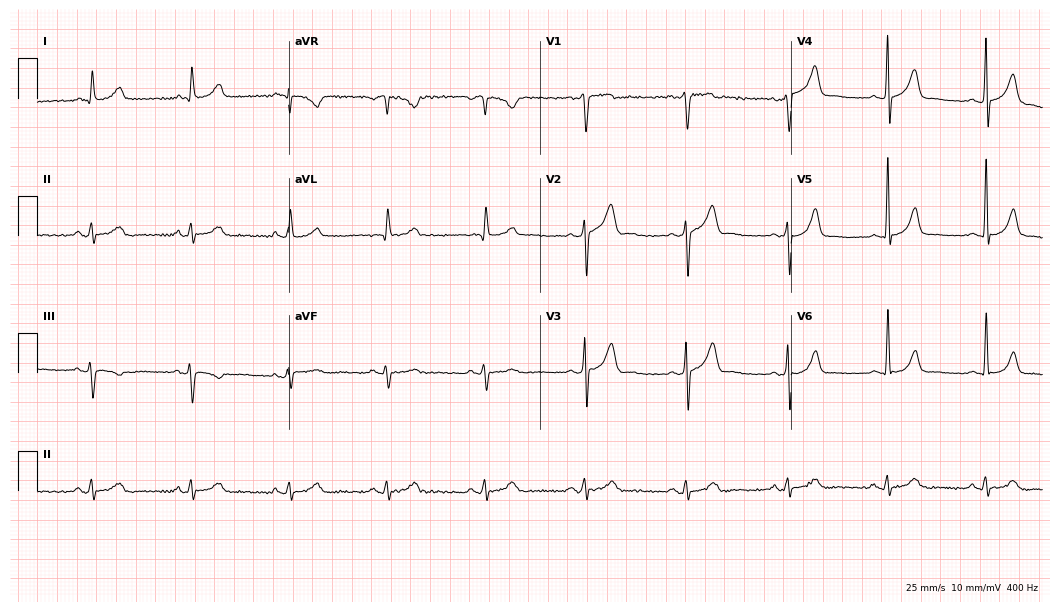
Electrocardiogram (10.2-second recording at 400 Hz), a male, 55 years old. Overall reading on record: normal ECG.